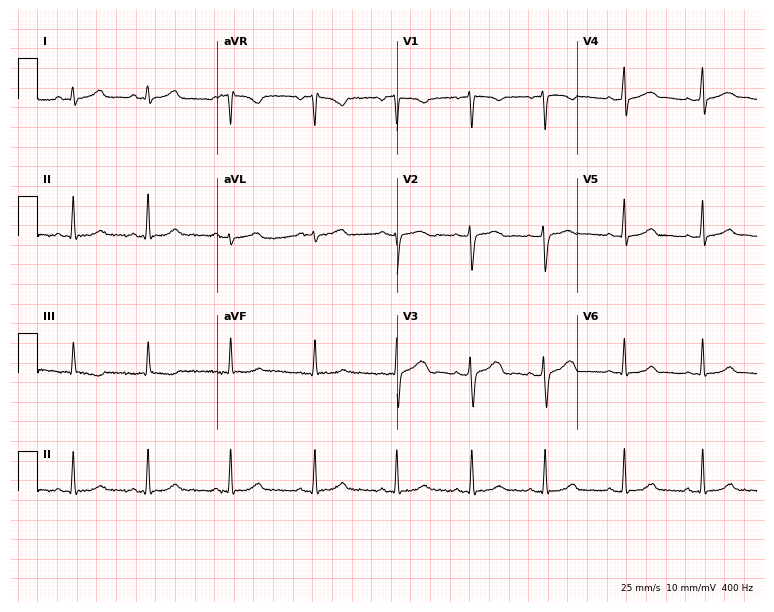
Electrocardiogram (7.3-second recording at 400 Hz), a female, 31 years old. Overall reading on record: normal ECG.